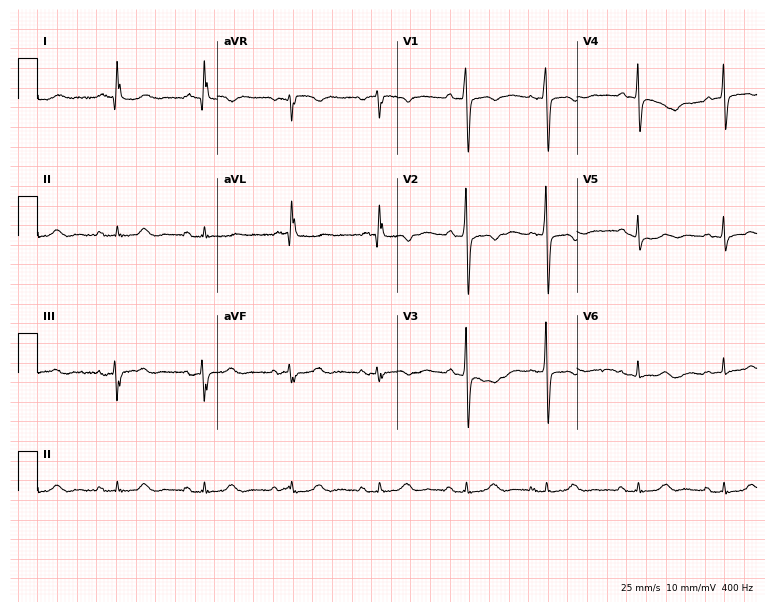
Resting 12-lead electrocardiogram. Patient: a female, 77 years old. None of these six findings is recorded: first-degree AV block, right bundle branch block, left bundle branch block, sinus bradycardia, atrial fibrillation, sinus tachycardia.